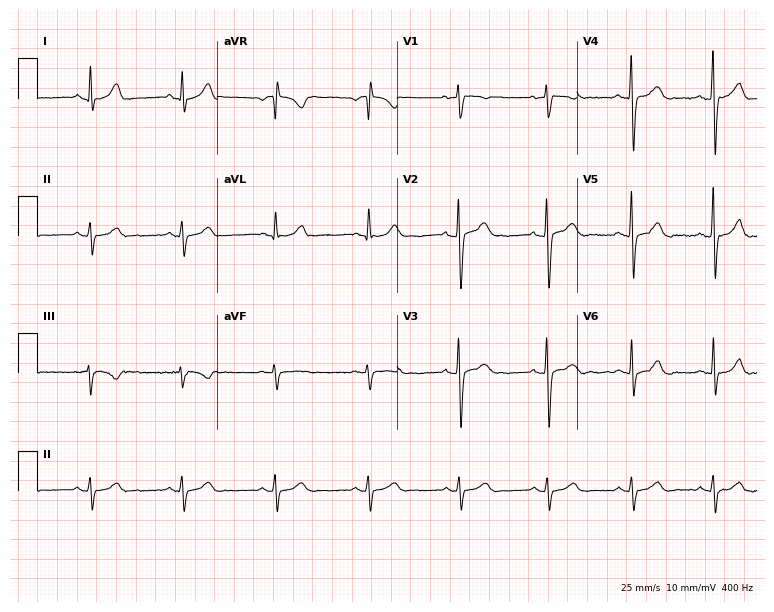
Standard 12-lead ECG recorded from a male, 30 years old (7.3-second recording at 400 Hz). None of these six findings is recorded: first-degree AV block, right bundle branch block (RBBB), left bundle branch block (LBBB), sinus bradycardia, atrial fibrillation (AF), sinus tachycardia.